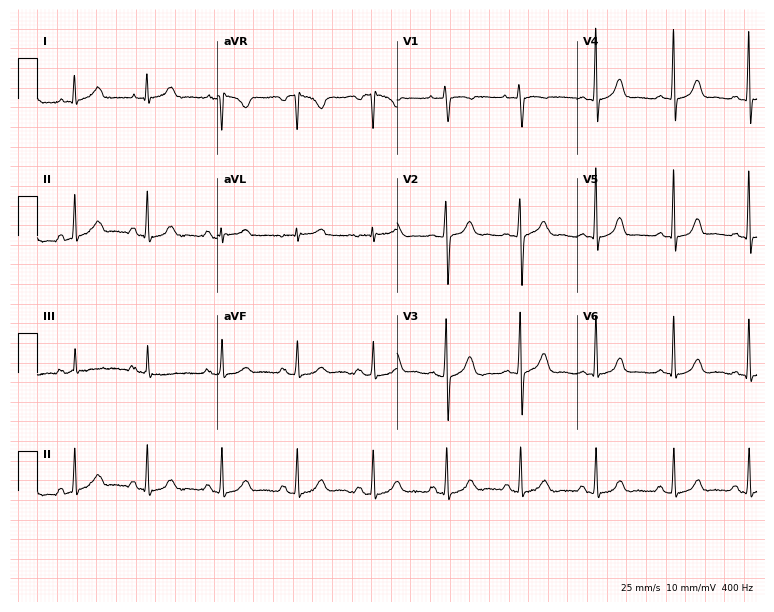
ECG — a 69-year-old female patient. Labelled as a normal ECG.